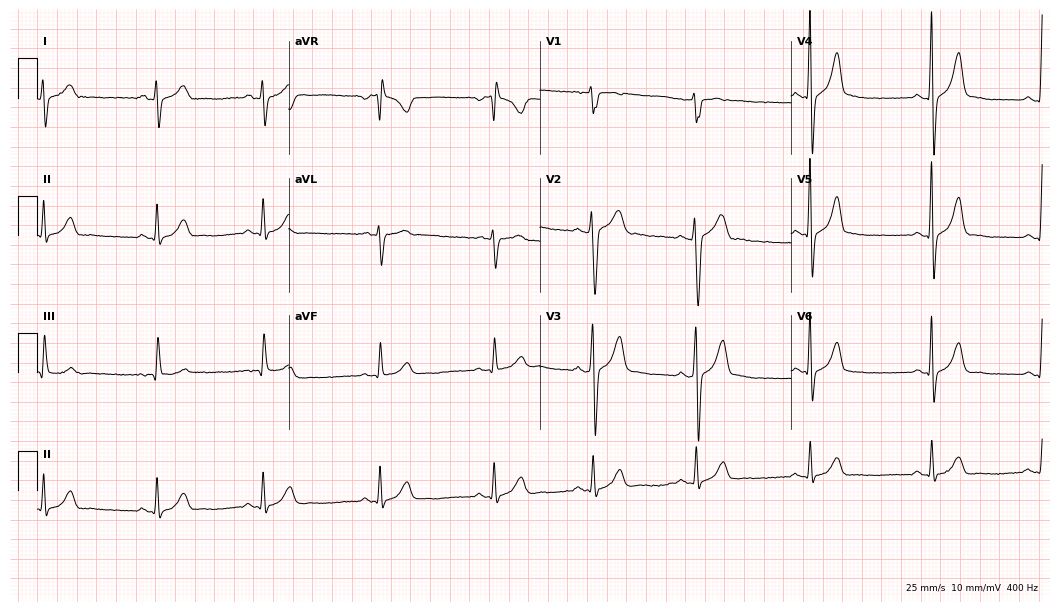
12-lead ECG from a 35-year-old male (10.2-second recording at 400 Hz). Recorded interpretation: within normal limits.